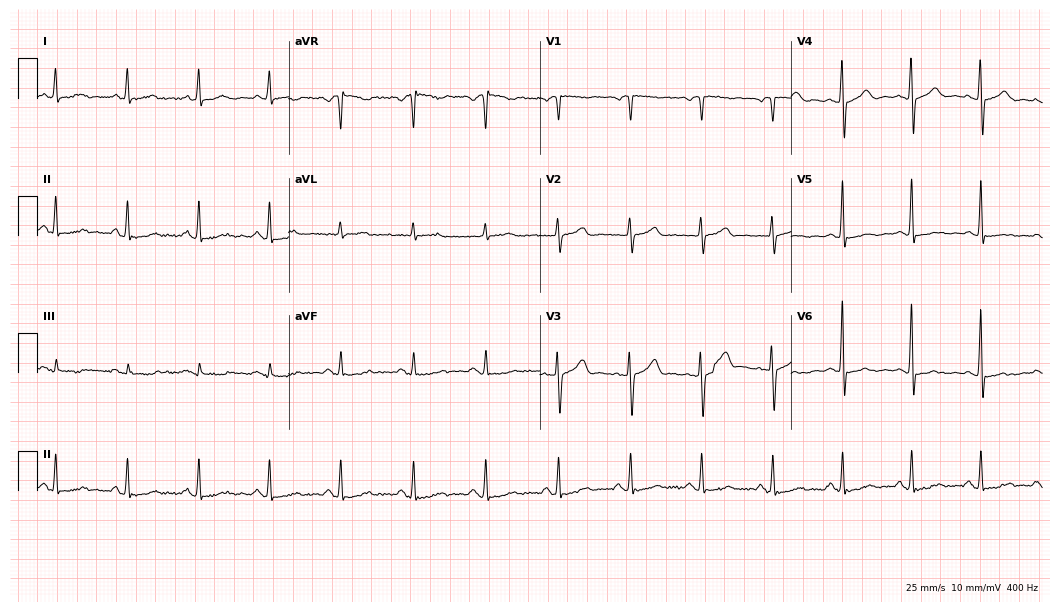
Standard 12-lead ECG recorded from a woman, 67 years old. Read as a normal ECG.